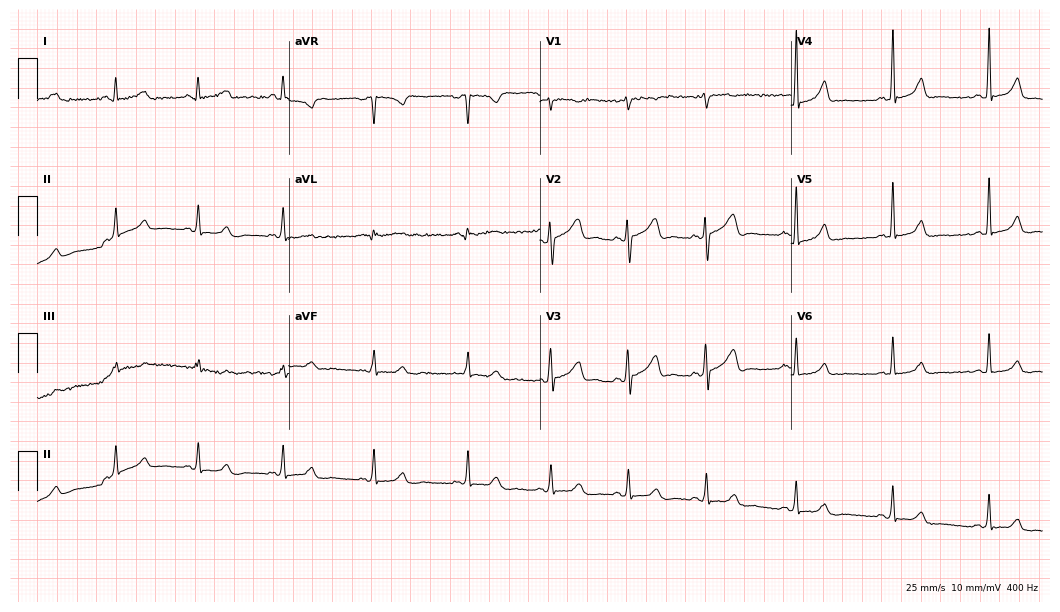
12-lead ECG from a female patient, 27 years old (10.2-second recording at 400 Hz). No first-degree AV block, right bundle branch block, left bundle branch block, sinus bradycardia, atrial fibrillation or sinus tachycardia recorded for this tracing. Findings outside these six are not listed.